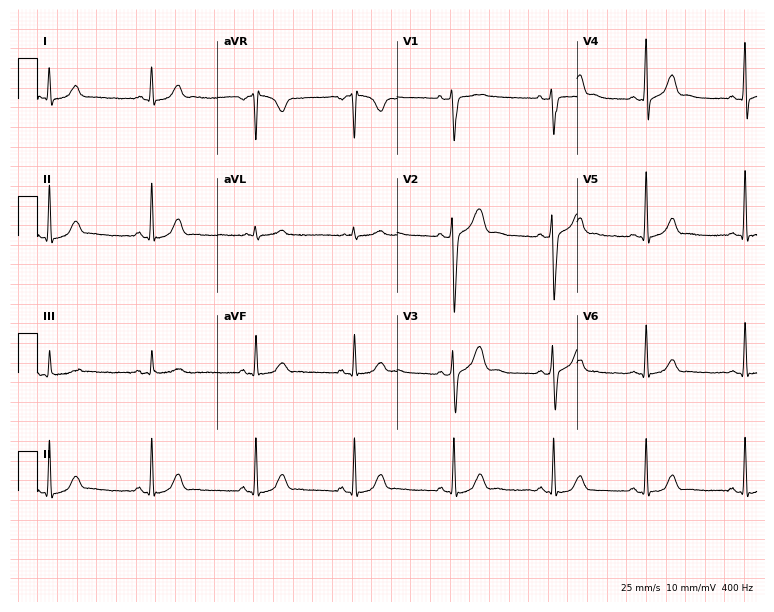
Electrocardiogram (7.3-second recording at 400 Hz), a 37-year-old male patient. Of the six screened findings (first-degree AV block, right bundle branch block, left bundle branch block, sinus bradycardia, atrial fibrillation, sinus tachycardia), none is recorded.